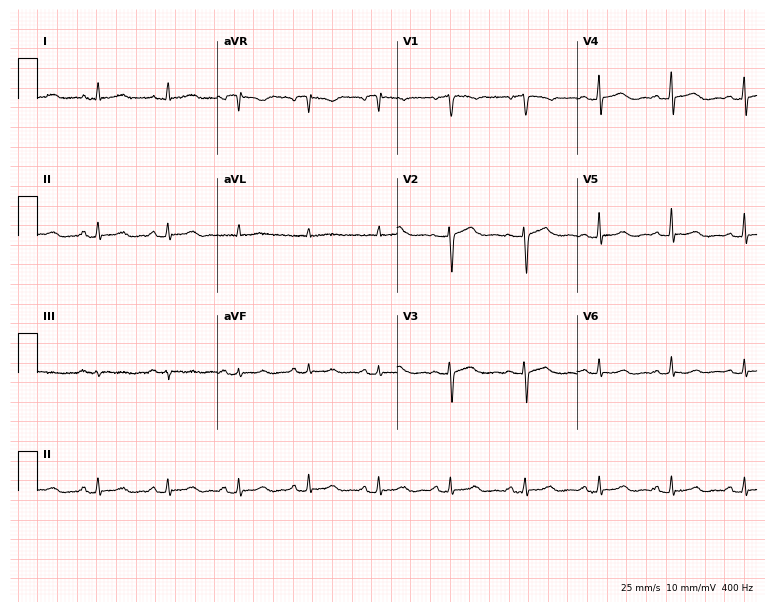
12-lead ECG (7.3-second recording at 400 Hz) from a 52-year-old woman. Screened for six findings — first-degree AV block, right bundle branch block, left bundle branch block, sinus bradycardia, atrial fibrillation, sinus tachycardia — none is recorded.